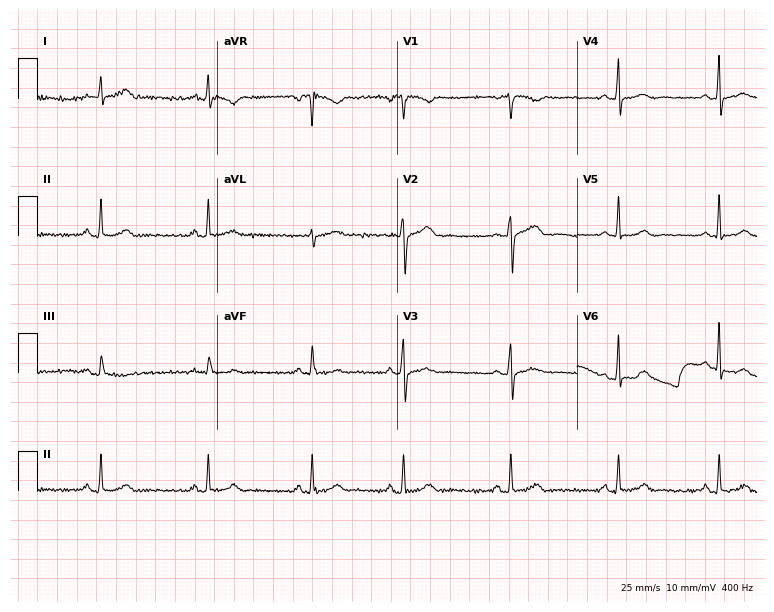
Resting 12-lead electrocardiogram (7.3-second recording at 400 Hz). Patient: a 27-year-old female. None of these six findings is recorded: first-degree AV block, right bundle branch block (RBBB), left bundle branch block (LBBB), sinus bradycardia, atrial fibrillation (AF), sinus tachycardia.